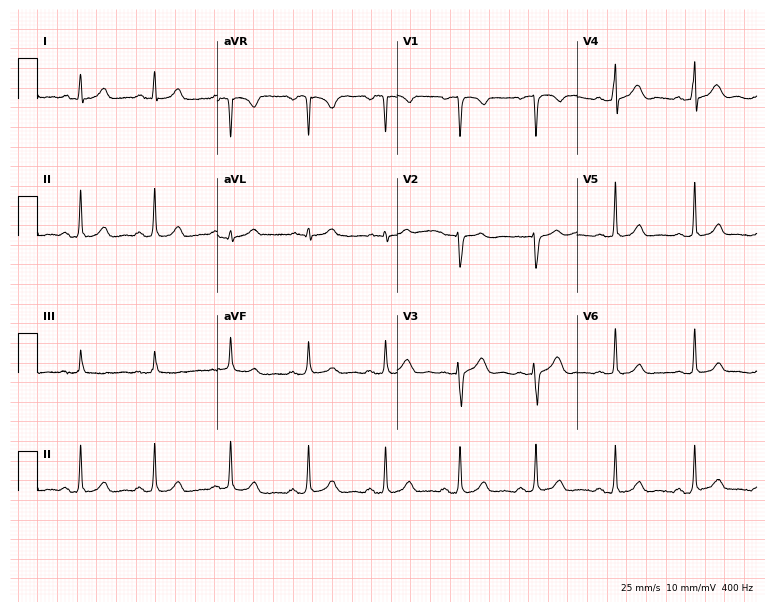
12-lead ECG from a 36-year-old female (7.3-second recording at 400 Hz). Recorded interpretation: within normal limits.